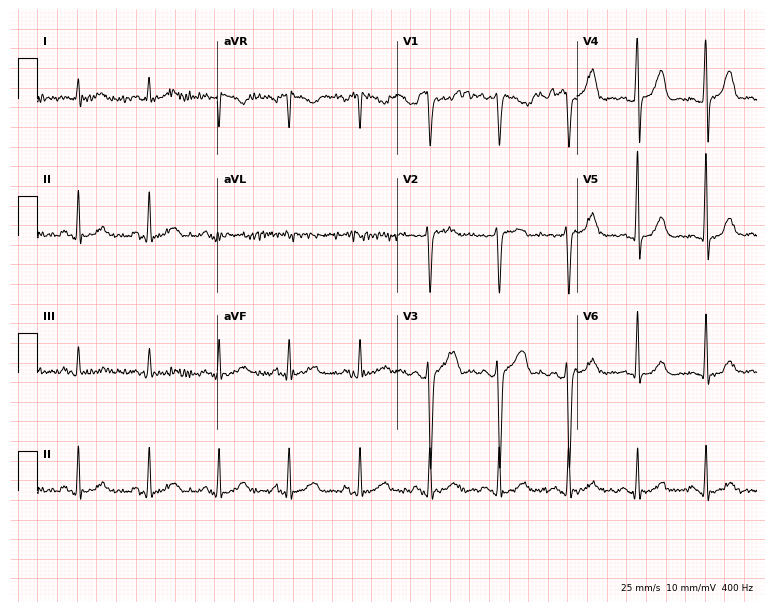
Electrocardiogram, a male patient, 37 years old. Of the six screened findings (first-degree AV block, right bundle branch block, left bundle branch block, sinus bradycardia, atrial fibrillation, sinus tachycardia), none is recorded. Findings outside these six are not listed.